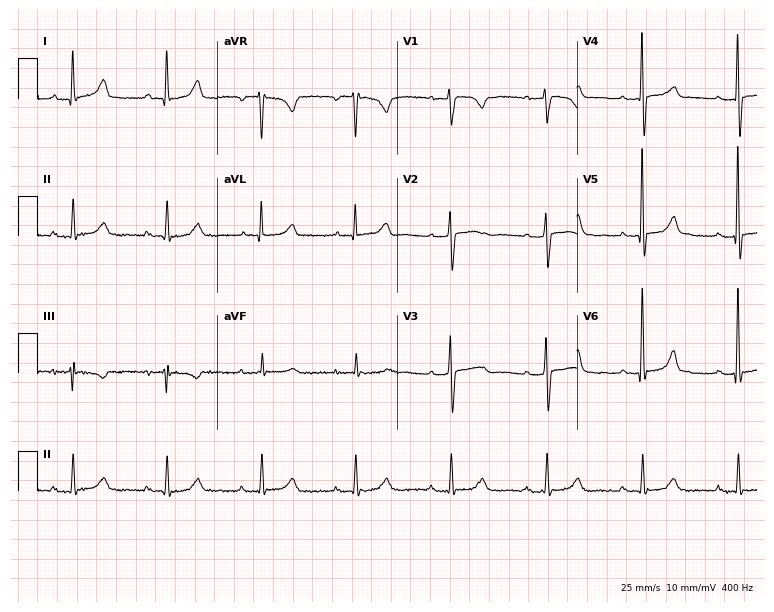
ECG — a 68-year-old female patient. Screened for six findings — first-degree AV block, right bundle branch block (RBBB), left bundle branch block (LBBB), sinus bradycardia, atrial fibrillation (AF), sinus tachycardia — none is recorded.